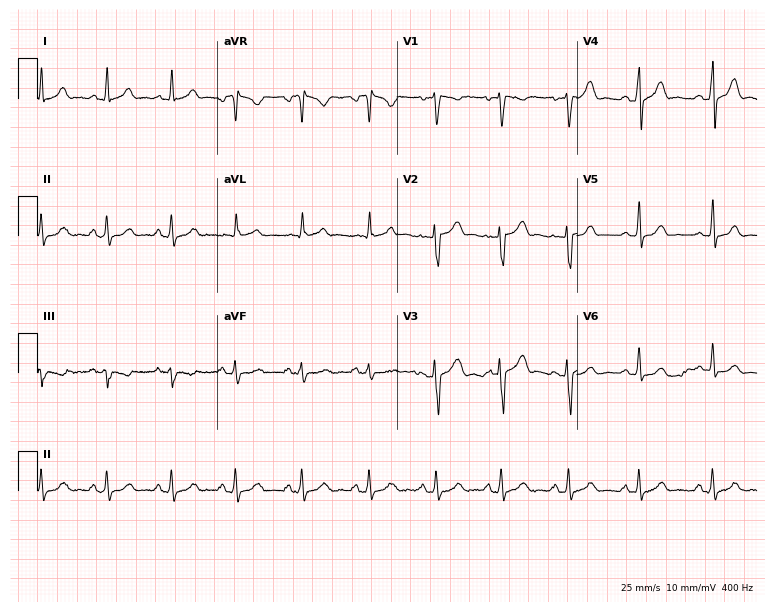
Resting 12-lead electrocardiogram (7.3-second recording at 400 Hz). Patient: a female, 29 years old. None of these six findings is recorded: first-degree AV block, right bundle branch block (RBBB), left bundle branch block (LBBB), sinus bradycardia, atrial fibrillation (AF), sinus tachycardia. Other findings, if any, are not listed.